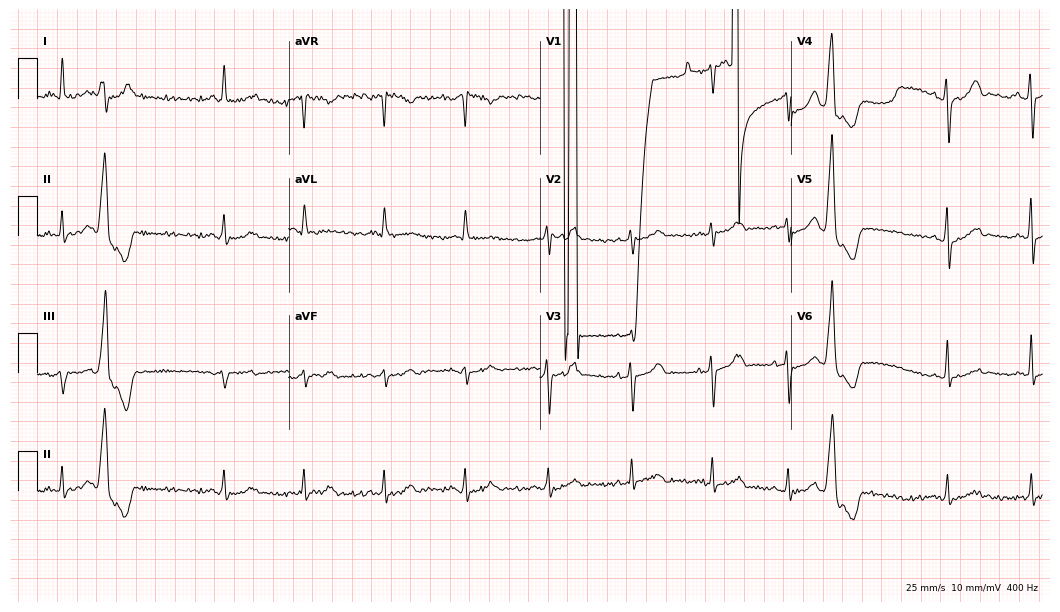
ECG (10.2-second recording at 400 Hz) — a 62-year-old woman. Screened for six findings — first-degree AV block, right bundle branch block (RBBB), left bundle branch block (LBBB), sinus bradycardia, atrial fibrillation (AF), sinus tachycardia — none is recorded.